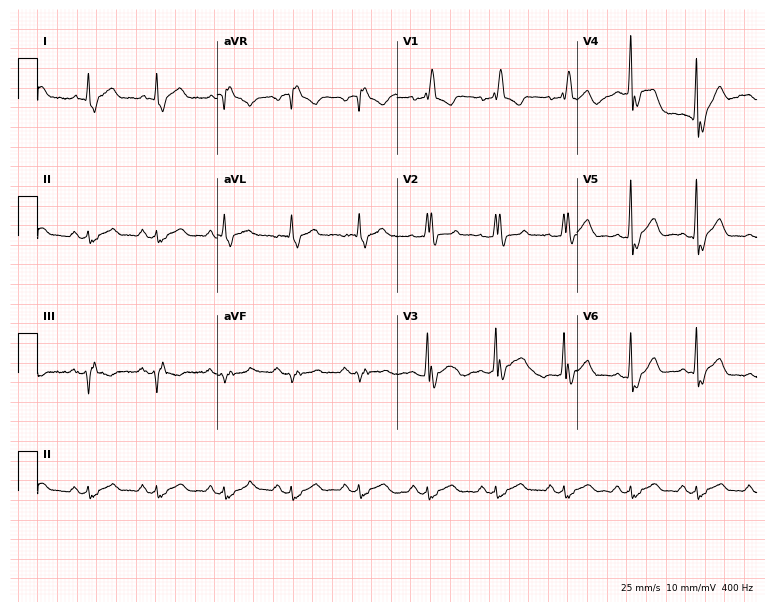
Resting 12-lead electrocardiogram. Patient: a man, 62 years old. The tracing shows right bundle branch block.